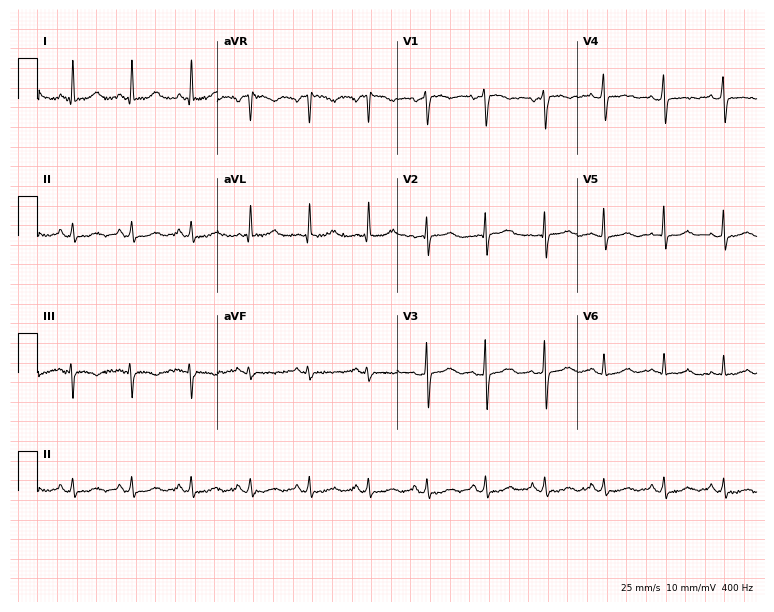
Standard 12-lead ECG recorded from a 54-year-old female (7.3-second recording at 400 Hz). None of these six findings is recorded: first-degree AV block, right bundle branch block (RBBB), left bundle branch block (LBBB), sinus bradycardia, atrial fibrillation (AF), sinus tachycardia.